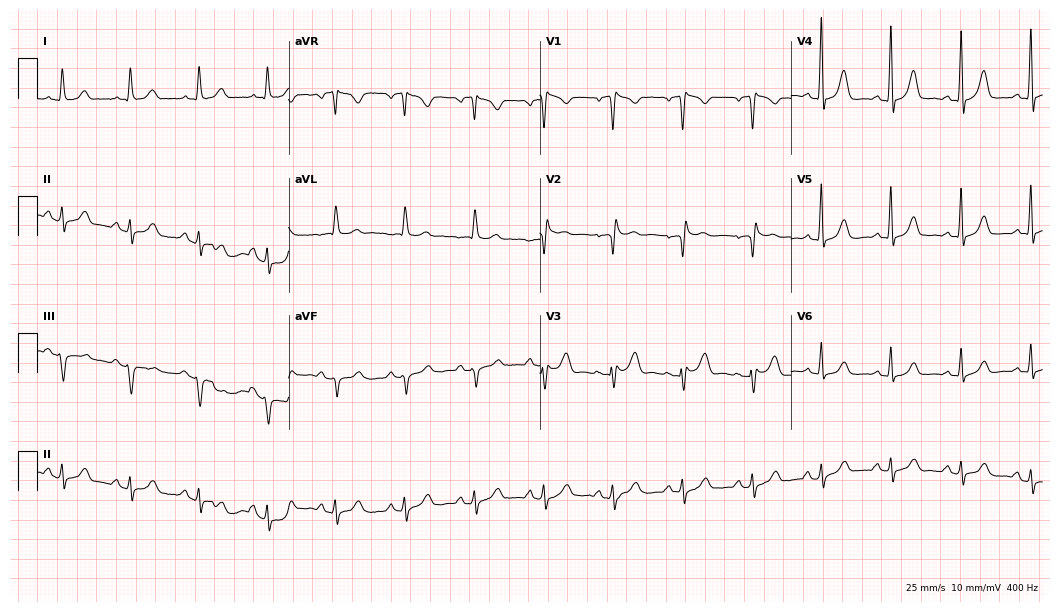
12-lead ECG from a woman, 75 years old (10.2-second recording at 400 Hz). No first-degree AV block, right bundle branch block (RBBB), left bundle branch block (LBBB), sinus bradycardia, atrial fibrillation (AF) or sinus tachycardia recorded for this tracing.